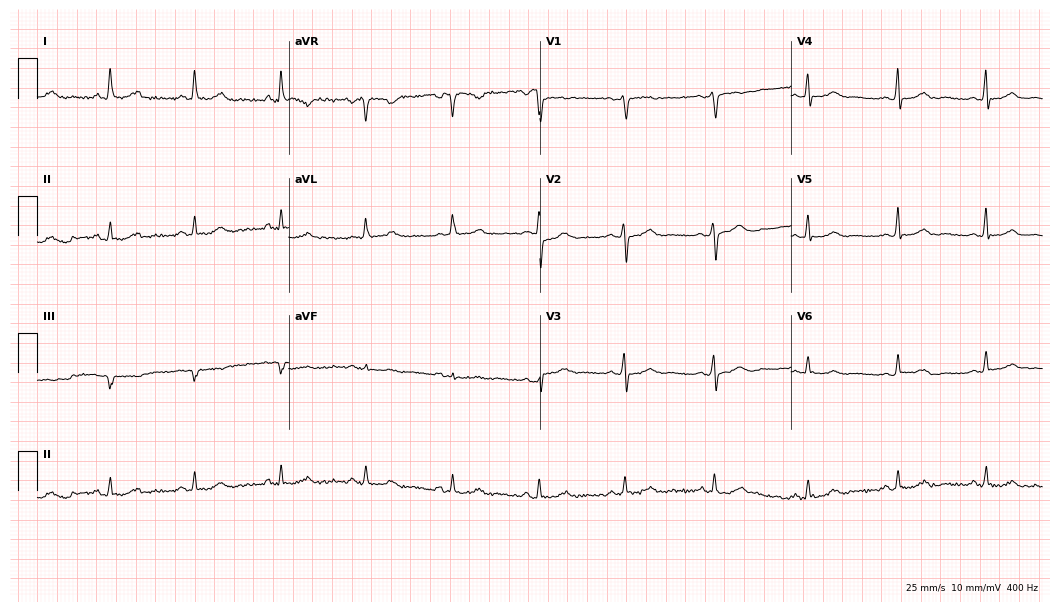
Standard 12-lead ECG recorded from a female, 54 years old (10.2-second recording at 400 Hz). Read as a normal ECG.